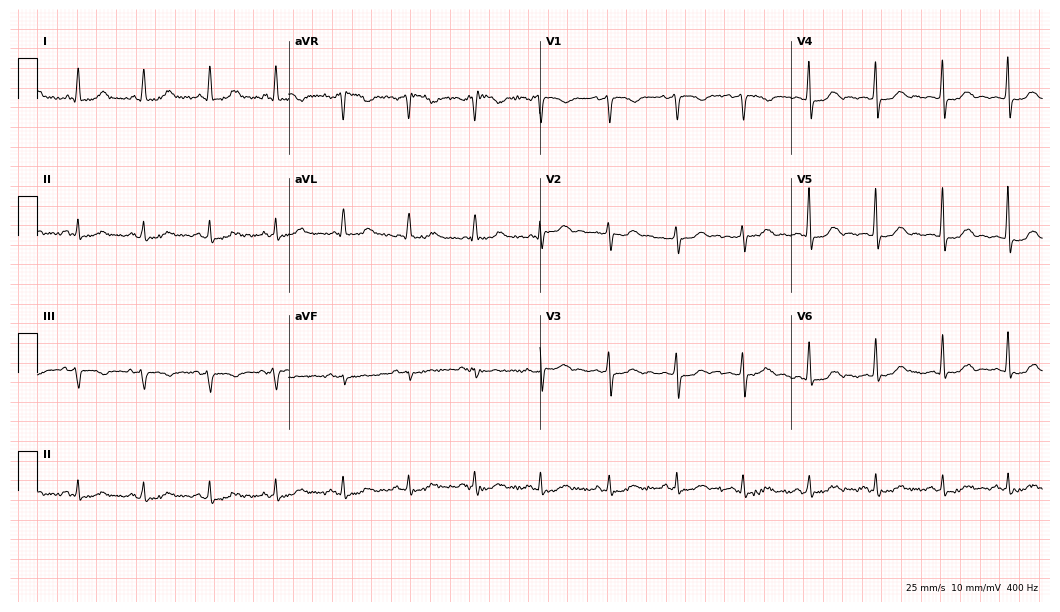
Electrocardiogram (10.2-second recording at 400 Hz), a woman, 46 years old. Overall reading on record: normal ECG.